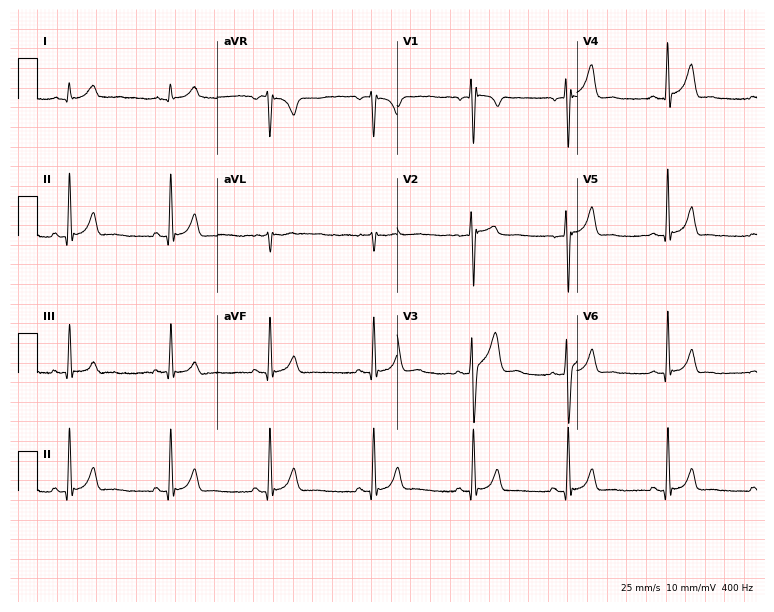
Electrocardiogram, a male patient, 35 years old. Overall reading on record: normal ECG.